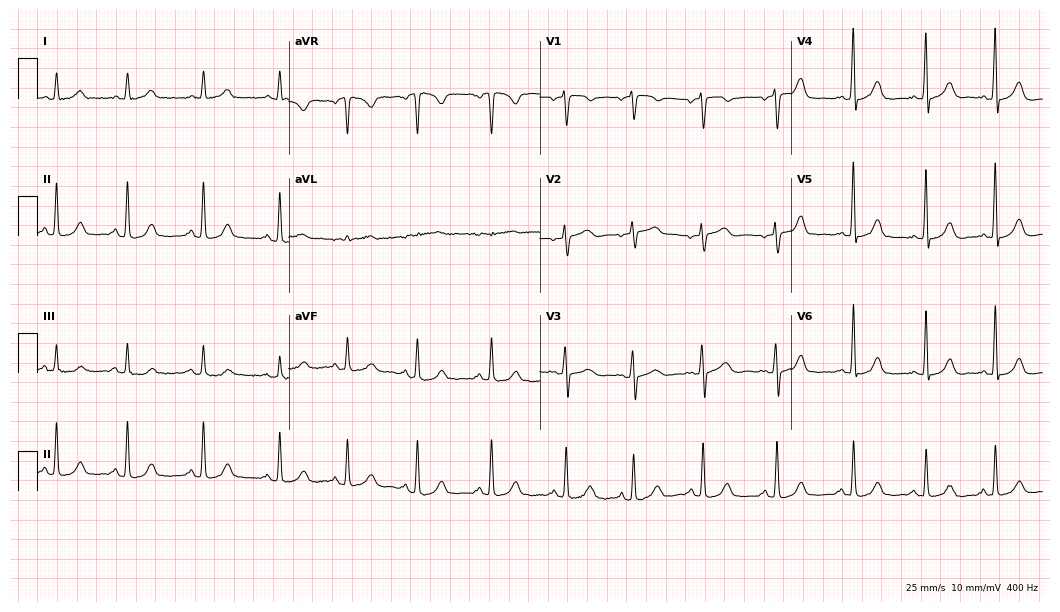
ECG (10.2-second recording at 400 Hz) — a 44-year-old female. Labelled as a normal ECG.